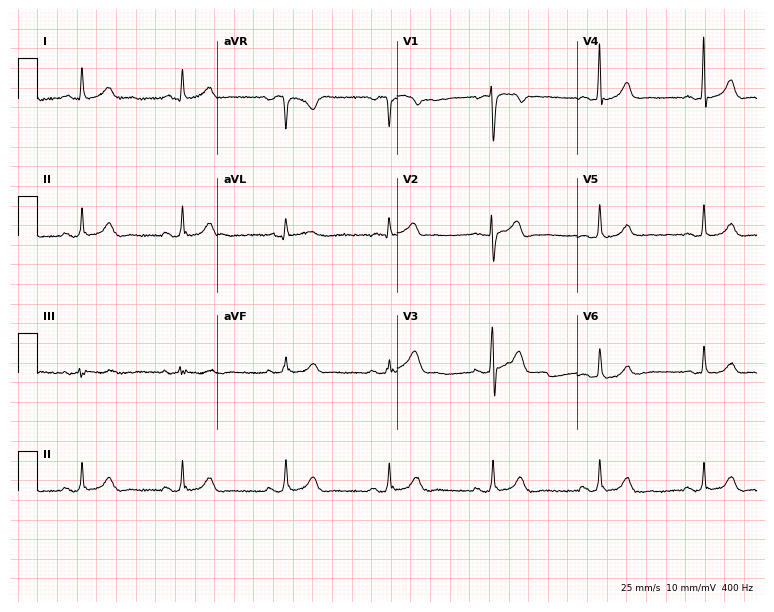
Standard 12-lead ECG recorded from a 35-year-old male. None of these six findings is recorded: first-degree AV block, right bundle branch block (RBBB), left bundle branch block (LBBB), sinus bradycardia, atrial fibrillation (AF), sinus tachycardia.